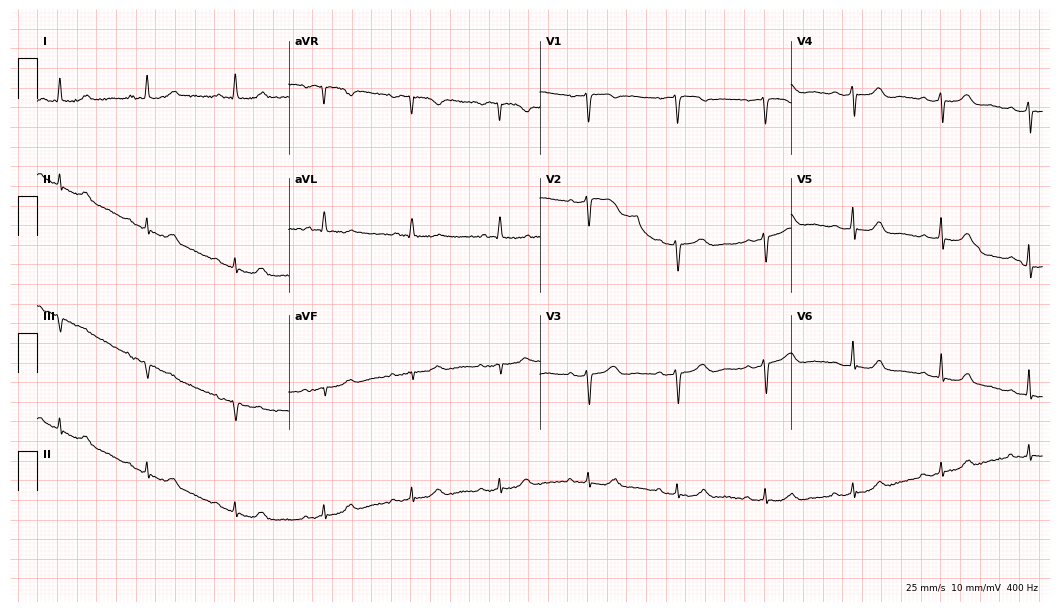
12-lead ECG from a 69-year-old woman. No first-degree AV block, right bundle branch block, left bundle branch block, sinus bradycardia, atrial fibrillation or sinus tachycardia recorded for this tracing.